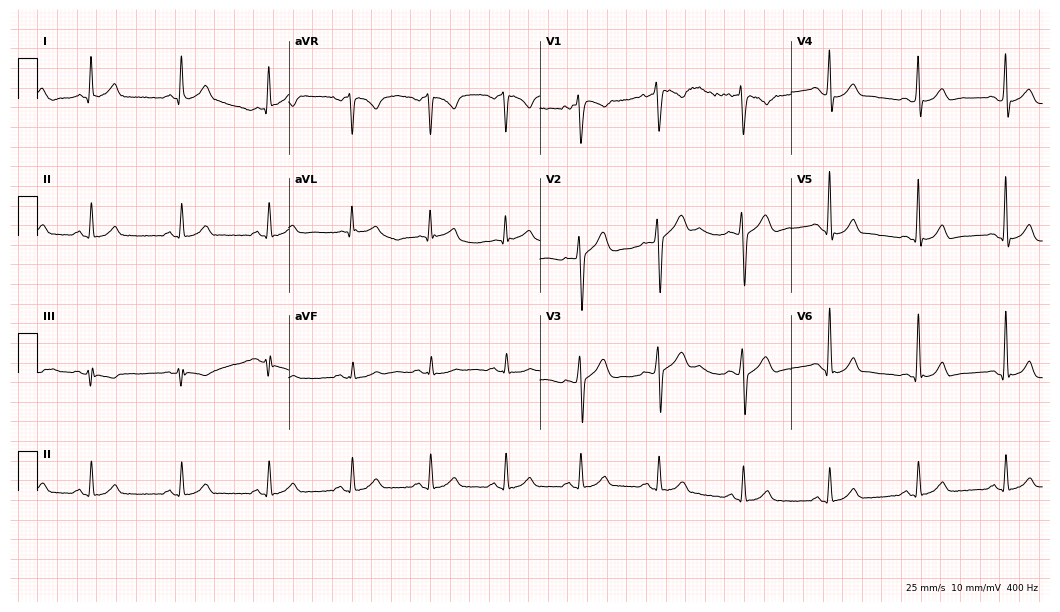
Resting 12-lead electrocardiogram. Patient: a man, 33 years old. Read as a normal ECG.